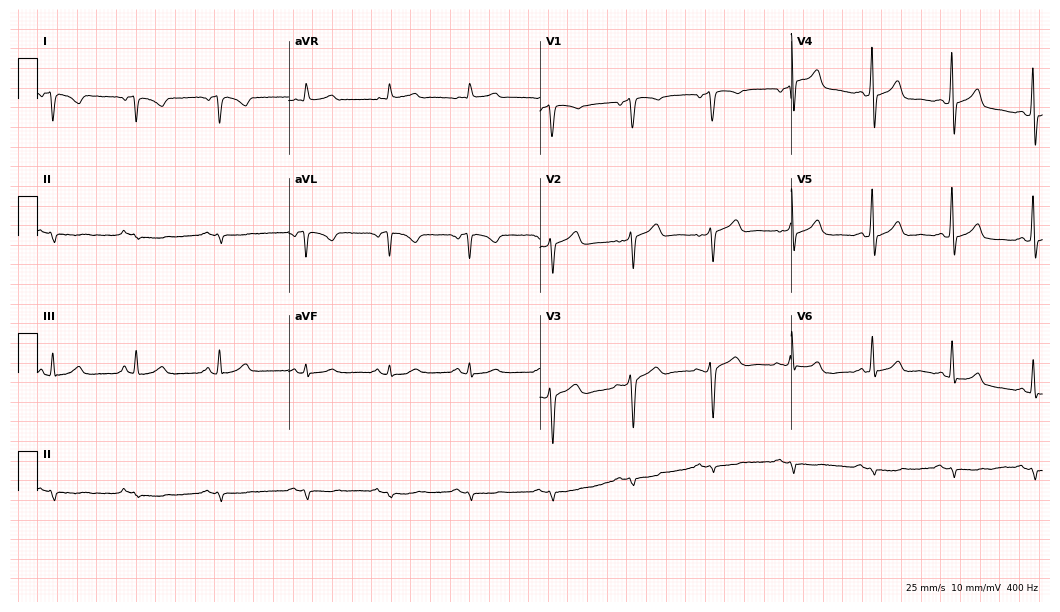
ECG — a 67-year-old male. Labelled as a normal ECG.